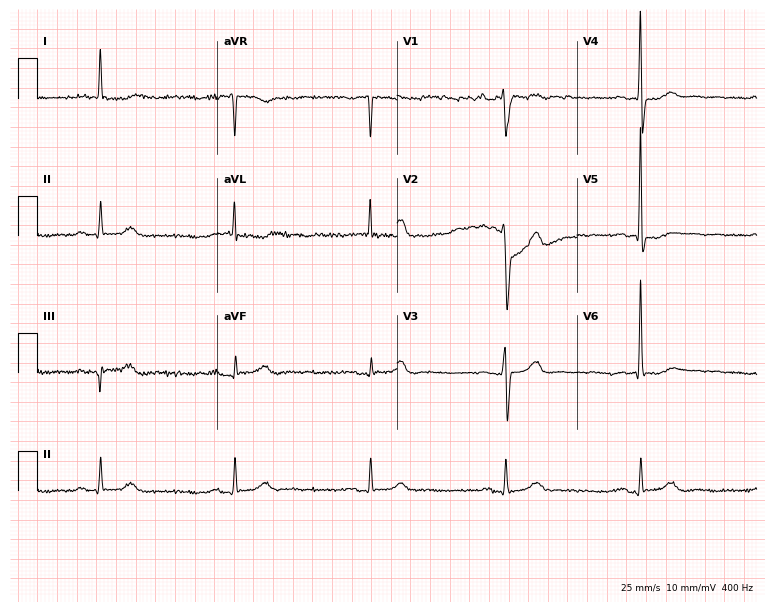
12-lead ECG from a male patient, 78 years old. Shows first-degree AV block, sinus bradycardia (a sinus rate of 50 beats per minute or less).